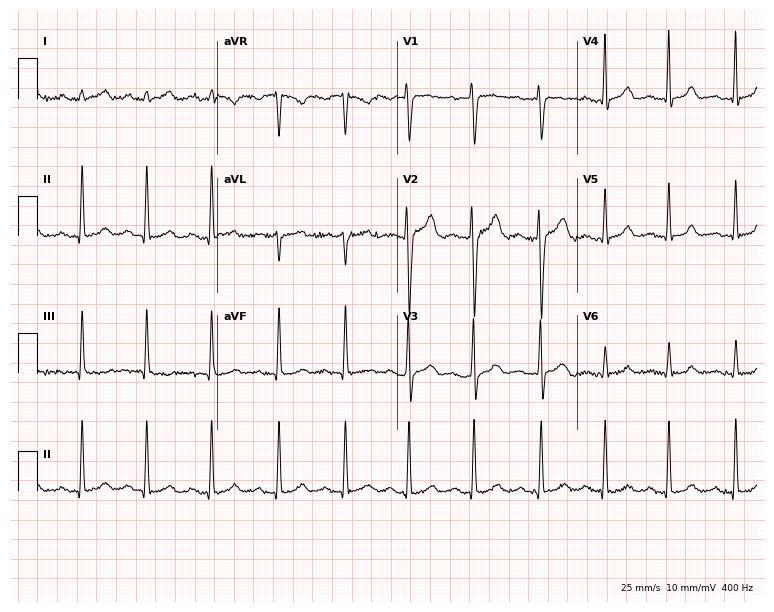
Electrocardiogram, a female, 19 years old. Overall reading on record: normal ECG.